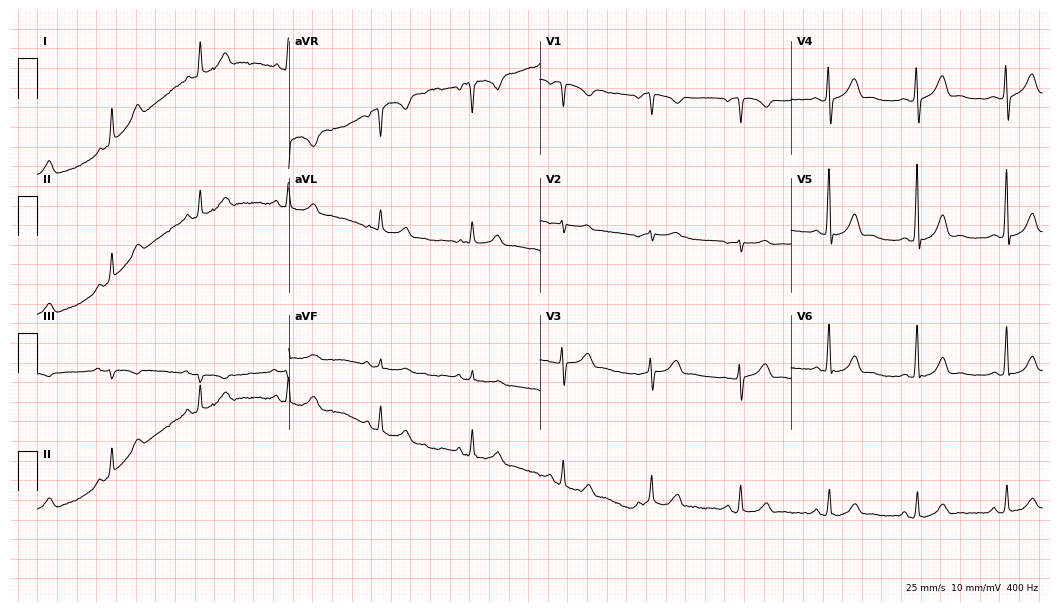
12-lead ECG from a 47-year-old female patient. No first-degree AV block, right bundle branch block, left bundle branch block, sinus bradycardia, atrial fibrillation or sinus tachycardia recorded for this tracing.